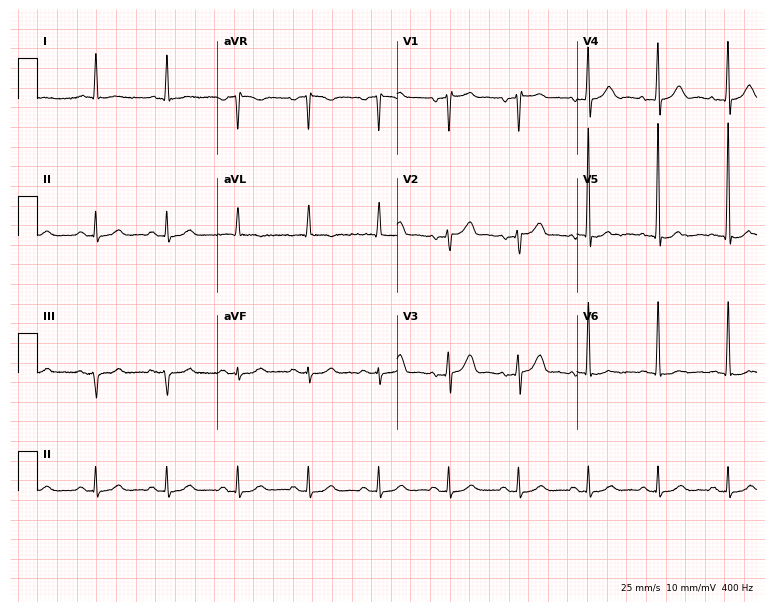
Resting 12-lead electrocardiogram (7.3-second recording at 400 Hz). Patient: a 72-year-old male. None of these six findings is recorded: first-degree AV block, right bundle branch block (RBBB), left bundle branch block (LBBB), sinus bradycardia, atrial fibrillation (AF), sinus tachycardia. Only these six findings were labelled.